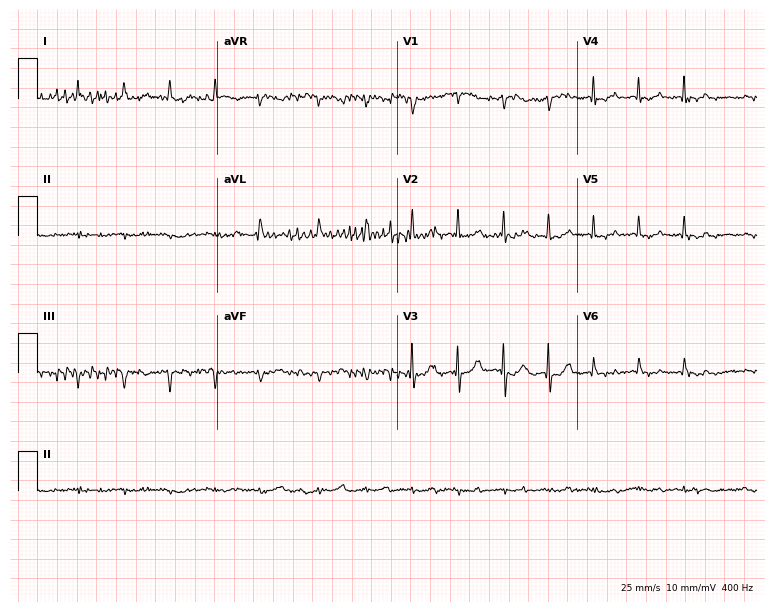
ECG (7.3-second recording at 400 Hz) — an 84-year-old female. Screened for six findings — first-degree AV block, right bundle branch block (RBBB), left bundle branch block (LBBB), sinus bradycardia, atrial fibrillation (AF), sinus tachycardia — none is recorded.